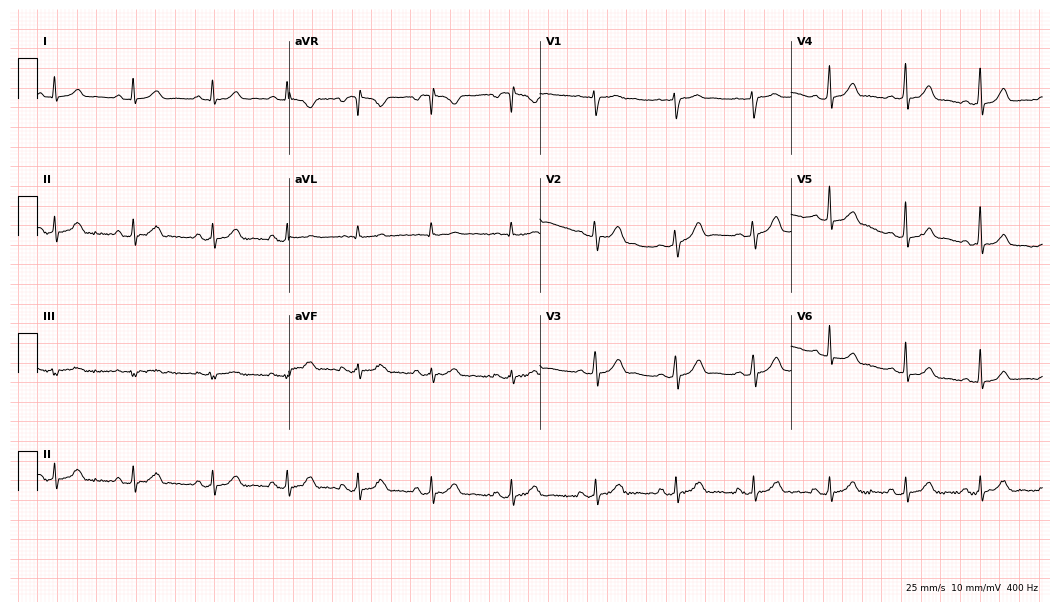
12-lead ECG (10.2-second recording at 400 Hz) from a female patient, 17 years old. Labelled as a normal ECG.